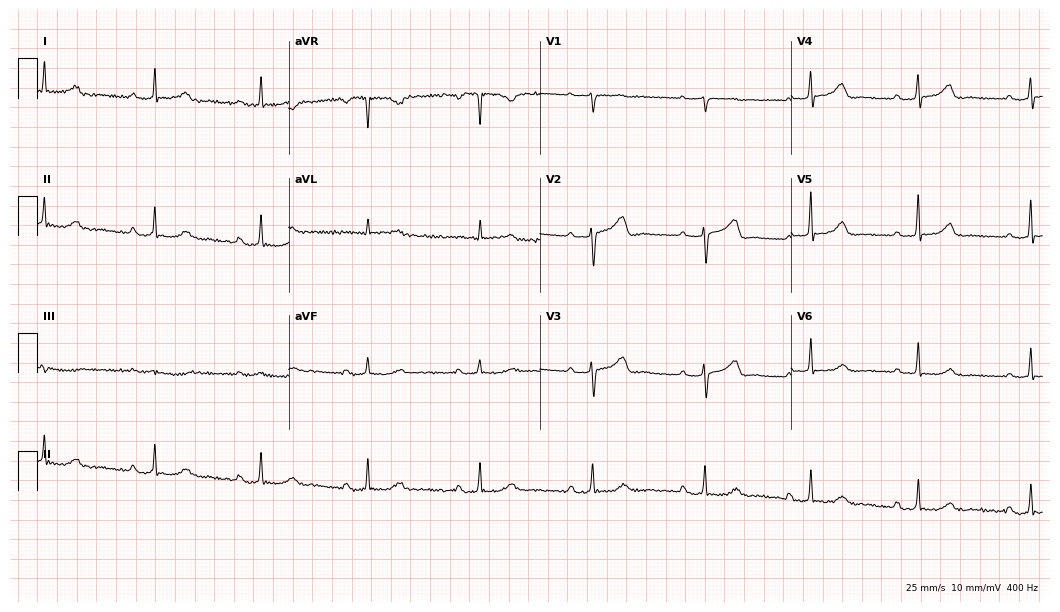
ECG (10.2-second recording at 400 Hz) — a 51-year-old woman. Findings include first-degree AV block.